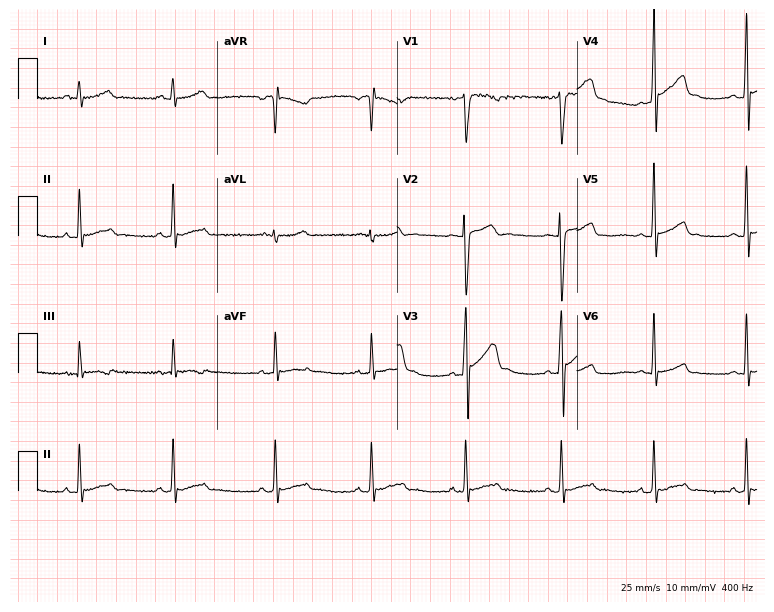
12-lead ECG from a 20-year-old man (7.3-second recording at 400 Hz). No first-degree AV block, right bundle branch block (RBBB), left bundle branch block (LBBB), sinus bradycardia, atrial fibrillation (AF) or sinus tachycardia recorded for this tracing. Only these six findings were labelled.